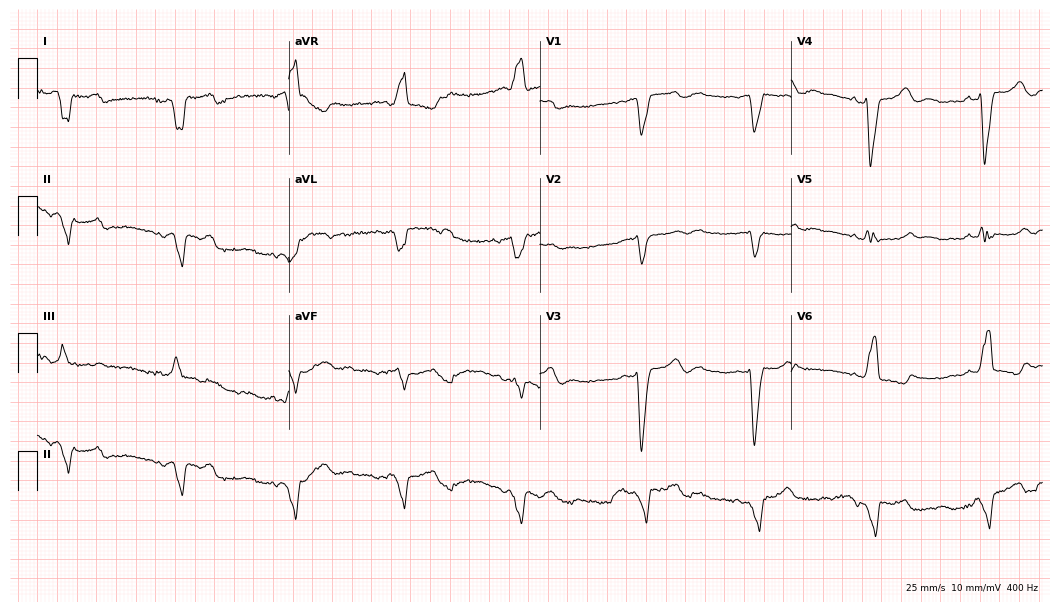
ECG — a 75-year-old female patient. Screened for six findings — first-degree AV block, right bundle branch block (RBBB), left bundle branch block (LBBB), sinus bradycardia, atrial fibrillation (AF), sinus tachycardia — none is recorded.